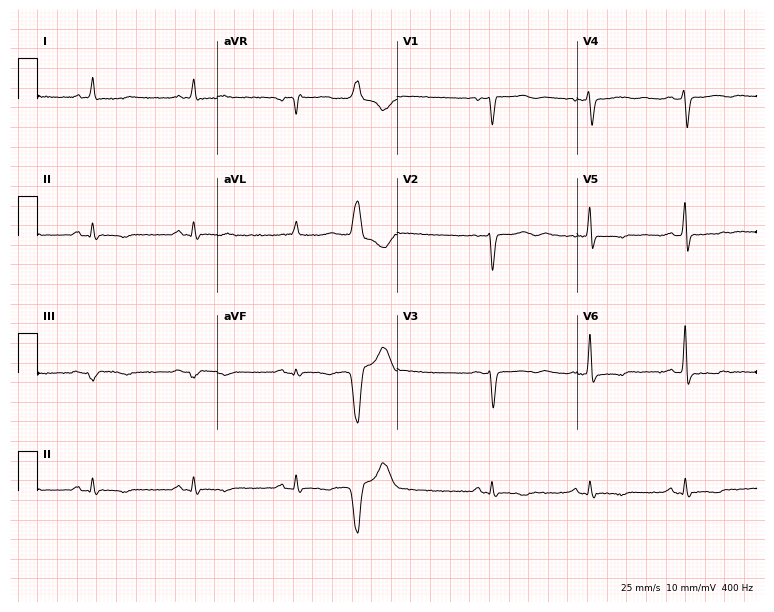
Standard 12-lead ECG recorded from a male patient, 63 years old. None of these six findings is recorded: first-degree AV block, right bundle branch block, left bundle branch block, sinus bradycardia, atrial fibrillation, sinus tachycardia. Other findings, if any, are not listed.